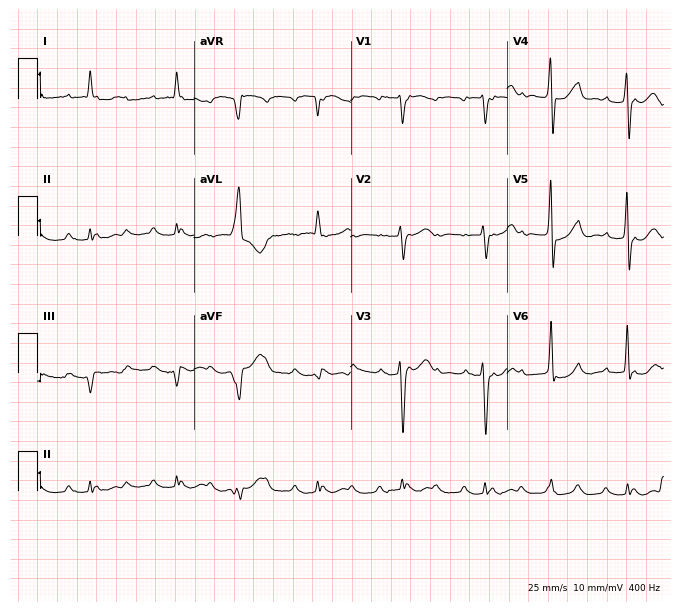
Resting 12-lead electrocardiogram. Patient: a male, 81 years old. None of these six findings is recorded: first-degree AV block, right bundle branch block, left bundle branch block, sinus bradycardia, atrial fibrillation, sinus tachycardia.